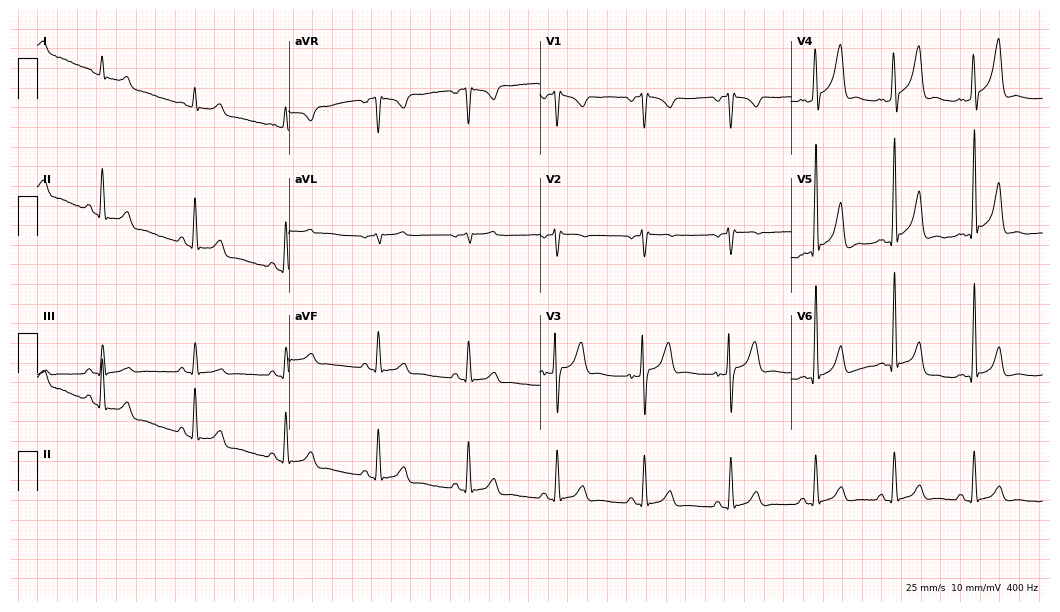
ECG (10.2-second recording at 400 Hz) — a male, 29 years old. Labelled as a normal ECG.